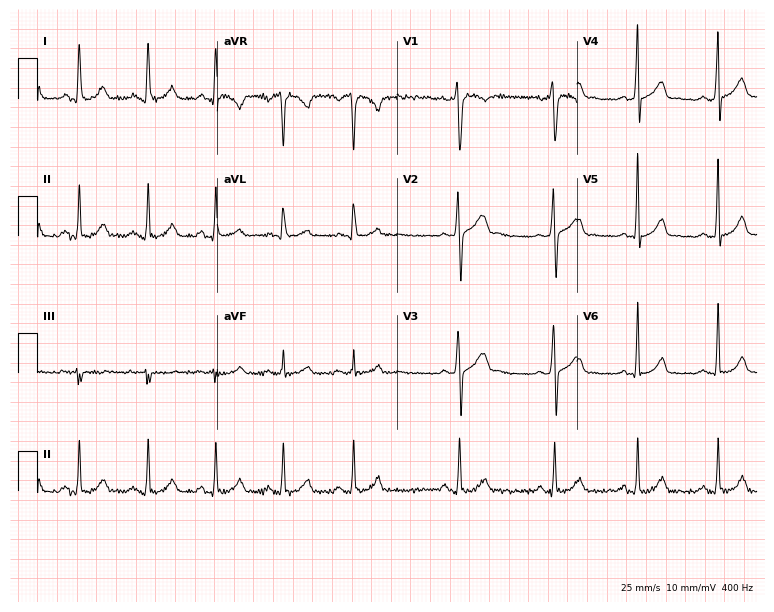
Standard 12-lead ECG recorded from a 20-year-old woman (7.3-second recording at 400 Hz). Read as a normal ECG.